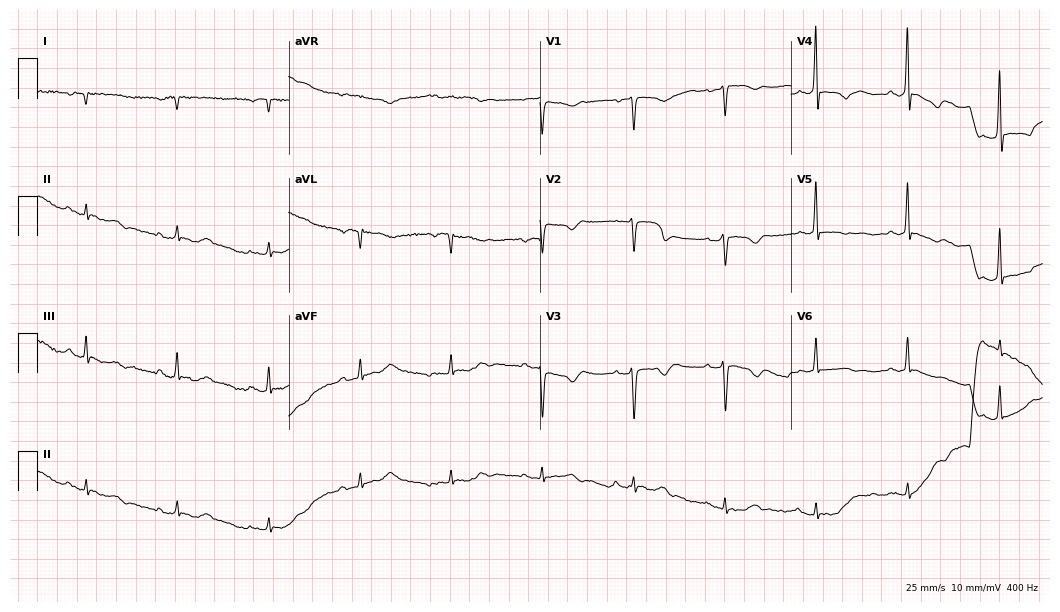
Electrocardiogram (10.2-second recording at 400 Hz), a female, 69 years old. Of the six screened findings (first-degree AV block, right bundle branch block, left bundle branch block, sinus bradycardia, atrial fibrillation, sinus tachycardia), none is recorded.